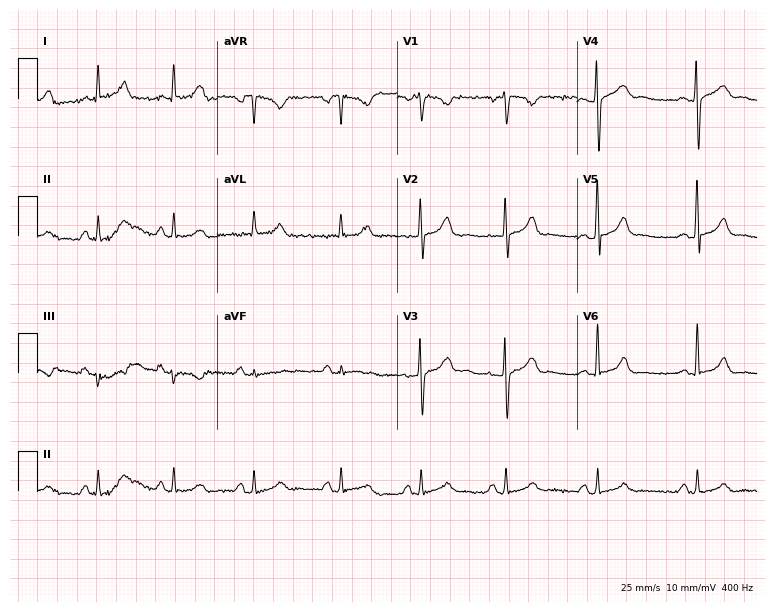
12-lead ECG from a female, 20 years old. Recorded interpretation: within normal limits.